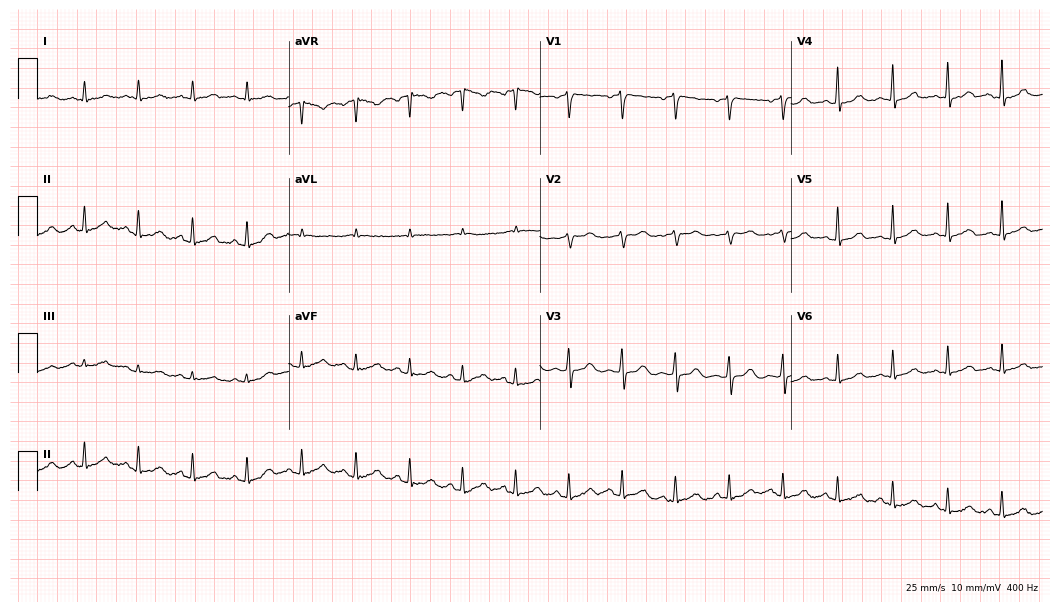
Resting 12-lead electrocardiogram. Patient: a 49-year-old female. The tracing shows sinus tachycardia (a sinus rate of 100 beats per minute or more).